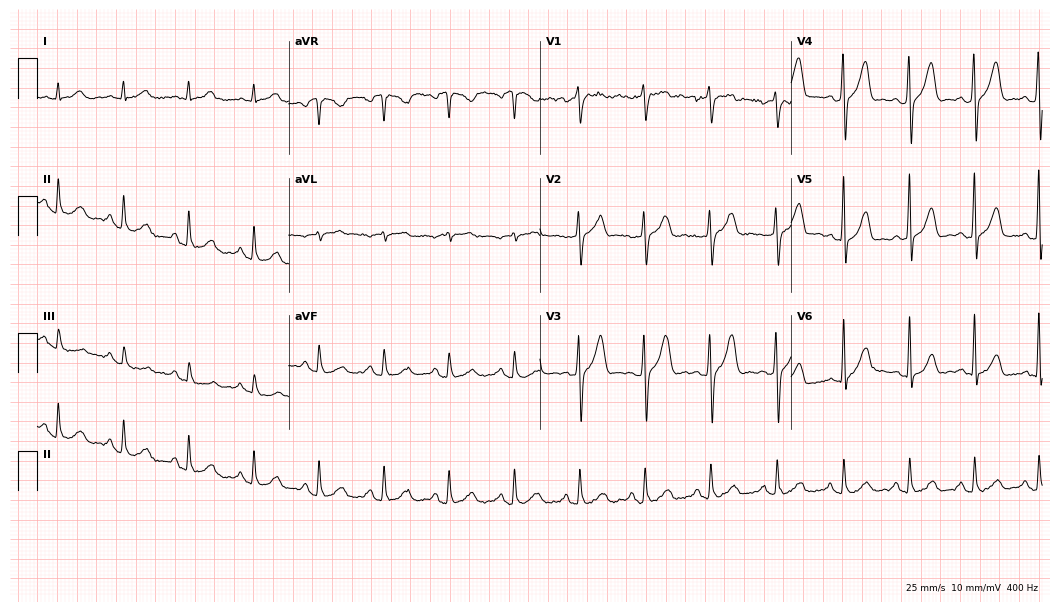
Standard 12-lead ECG recorded from a man, 54 years old (10.2-second recording at 400 Hz). Read as a normal ECG.